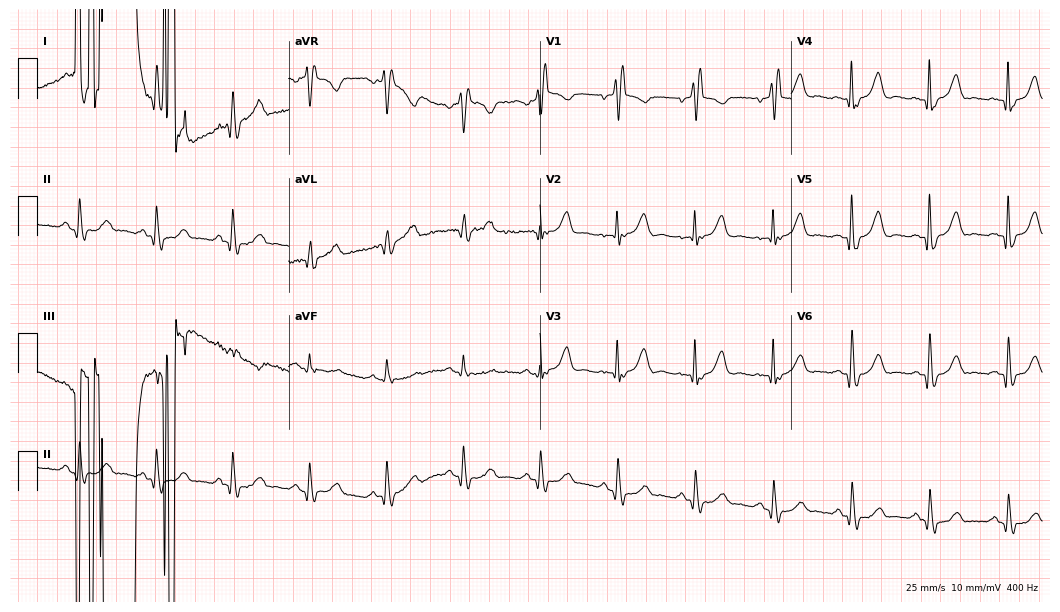
Resting 12-lead electrocardiogram (10.2-second recording at 400 Hz). Patient: a 74-year-old woman. The tracing shows right bundle branch block (RBBB).